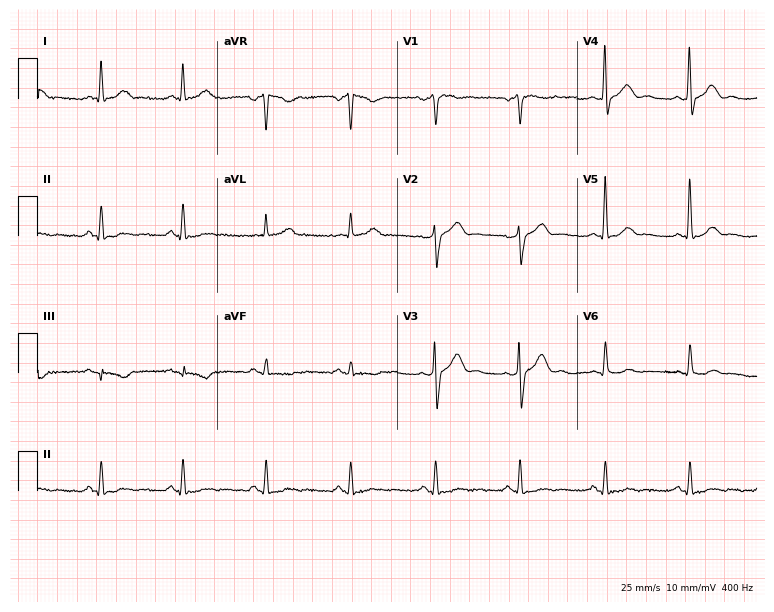
12-lead ECG from a man, 54 years old. No first-degree AV block, right bundle branch block, left bundle branch block, sinus bradycardia, atrial fibrillation or sinus tachycardia recorded for this tracing. Only these six findings were labelled.